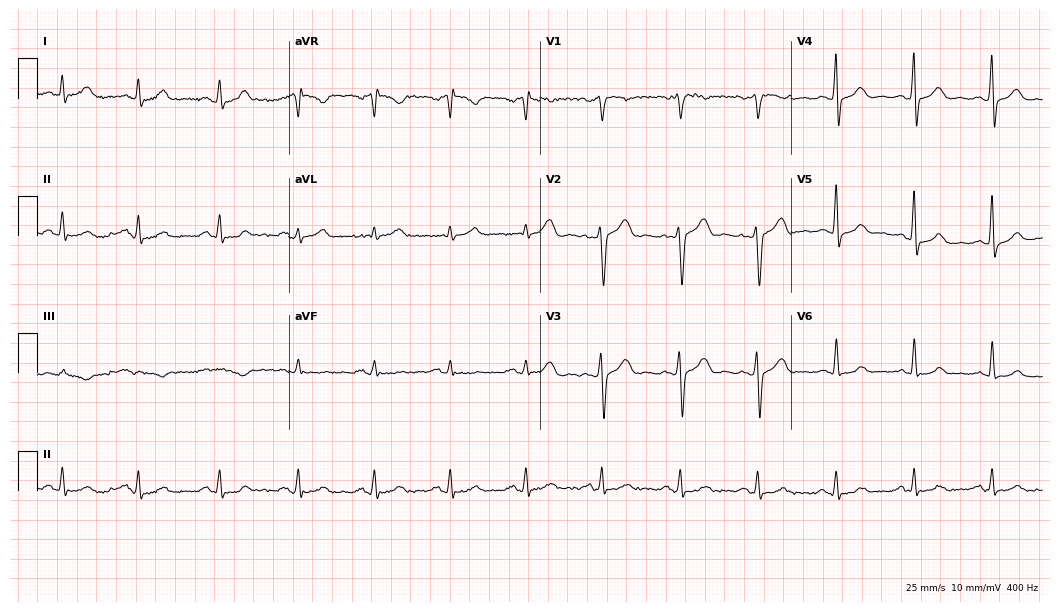
ECG — a male patient, 57 years old. Screened for six findings — first-degree AV block, right bundle branch block, left bundle branch block, sinus bradycardia, atrial fibrillation, sinus tachycardia — none is recorded. Only these six findings were labelled.